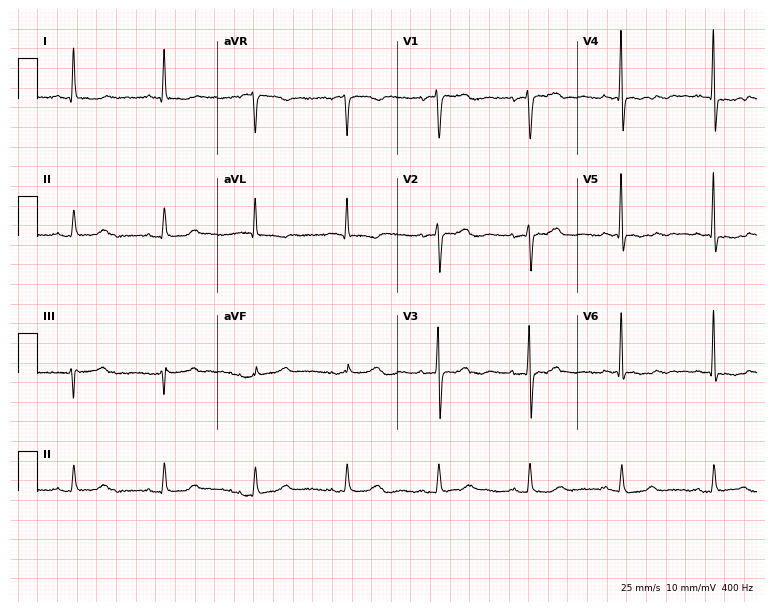
Electrocardiogram (7.3-second recording at 400 Hz), a female, 70 years old. Of the six screened findings (first-degree AV block, right bundle branch block (RBBB), left bundle branch block (LBBB), sinus bradycardia, atrial fibrillation (AF), sinus tachycardia), none is recorded. Only these six findings were labelled.